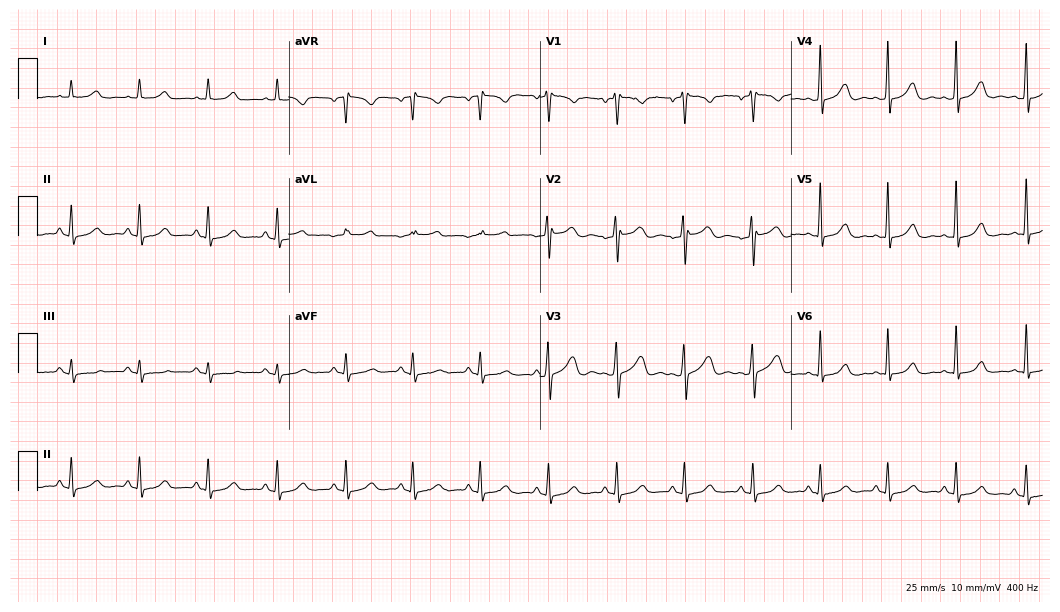
12-lead ECG from a female patient, 38 years old. Screened for six findings — first-degree AV block, right bundle branch block, left bundle branch block, sinus bradycardia, atrial fibrillation, sinus tachycardia — none is recorded.